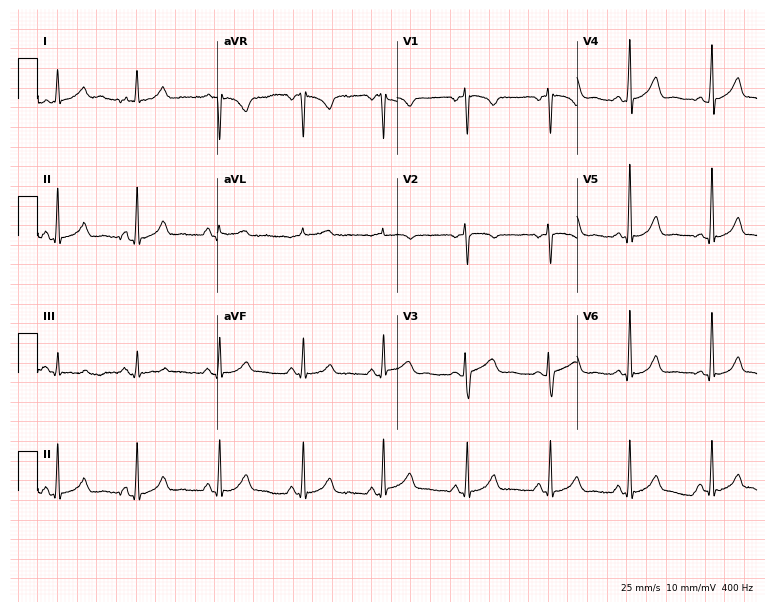
12-lead ECG from a 52-year-old woman. Recorded interpretation: within normal limits.